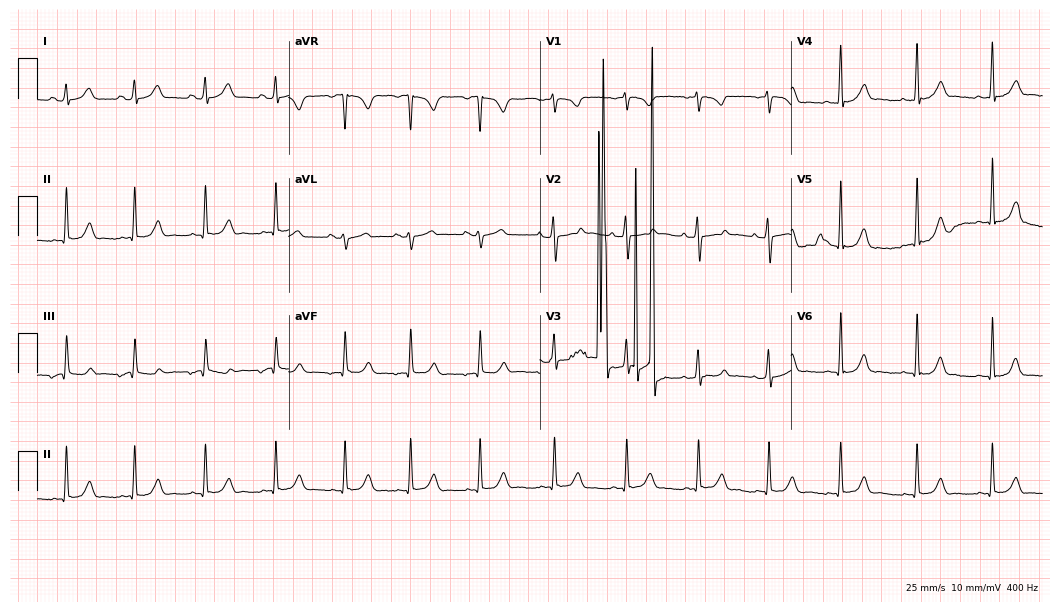
12-lead ECG from a female patient, 27 years old. Screened for six findings — first-degree AV block, right bundle branch block, left bundle branch block, sinus bradycardia, atrial fibrillation, sinus tachycardia — none is recorded.